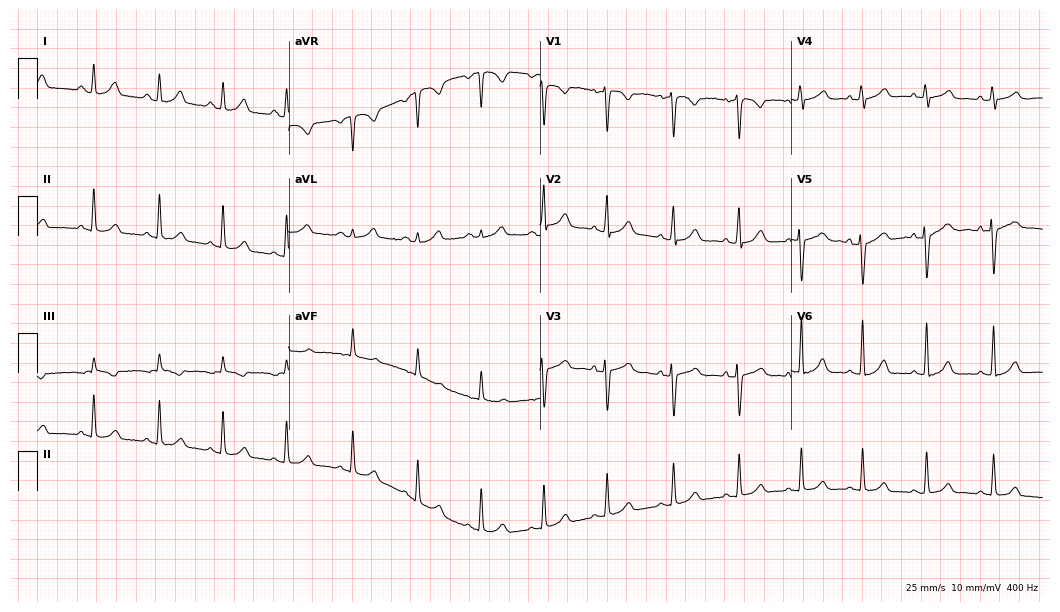
Standard 12-lead ECG recorded from a woman, 25 years old (10.2-second recording at 400 Hz). Read as a normal ECG.